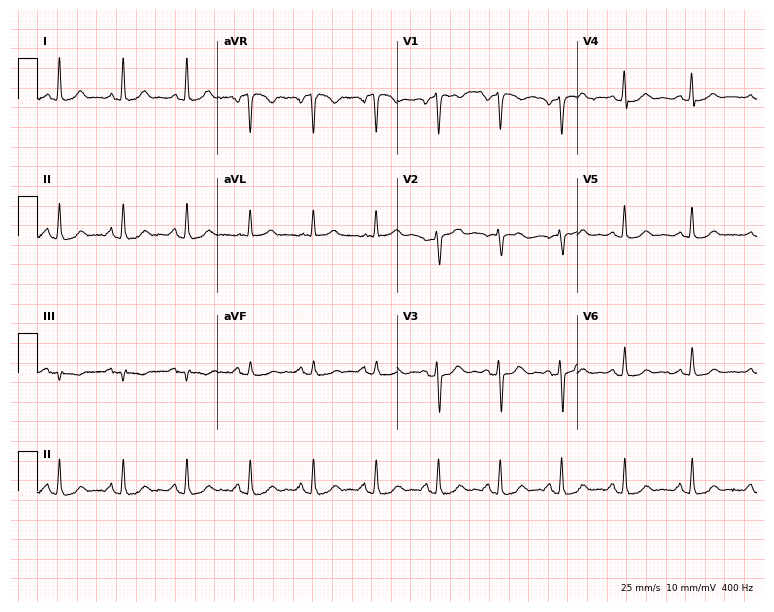
Standard 12-lead ECG recorded from a 46-year-old female. None of these six findings is recorded: first-degree AV block, right bundle branch block, left bundle branch block, sinus bradycardia, atrial fibrillation, sinus tachycardia. Findings outside these six are not listed.